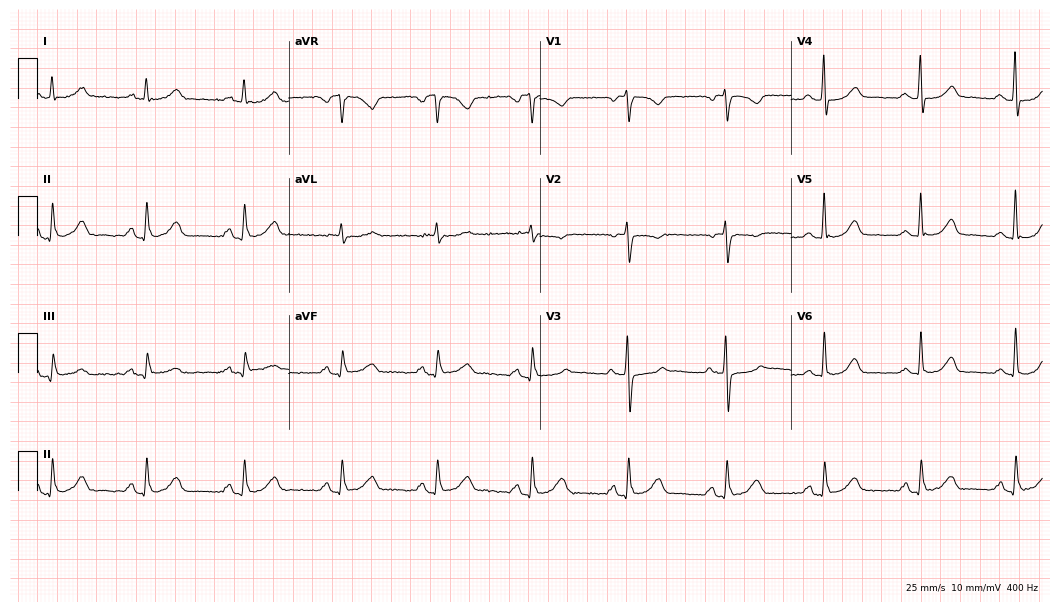
Standard 12-lead ECG recorded from a woman, 64 years old. Read as a normal ECG.